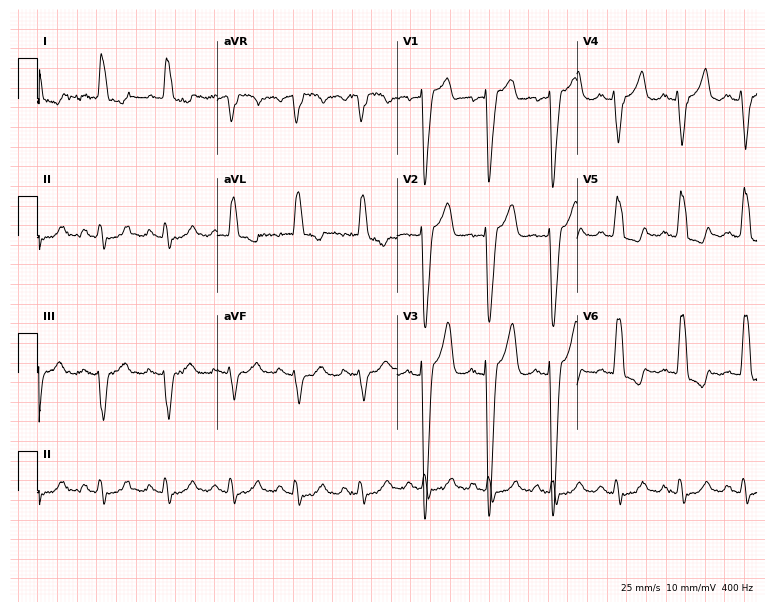
12-lead ECG from a 60-year-old female. Findings include left bundle branch block (LBBB).